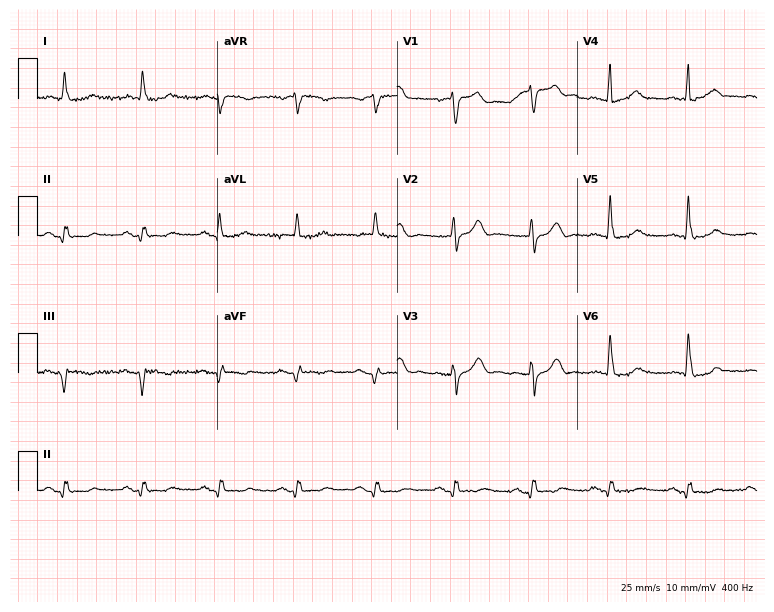
Electrocardiogram (7.3-second recording at 400 Hz), a 79-year-old male patient. Overall reading on record: normal ECG.